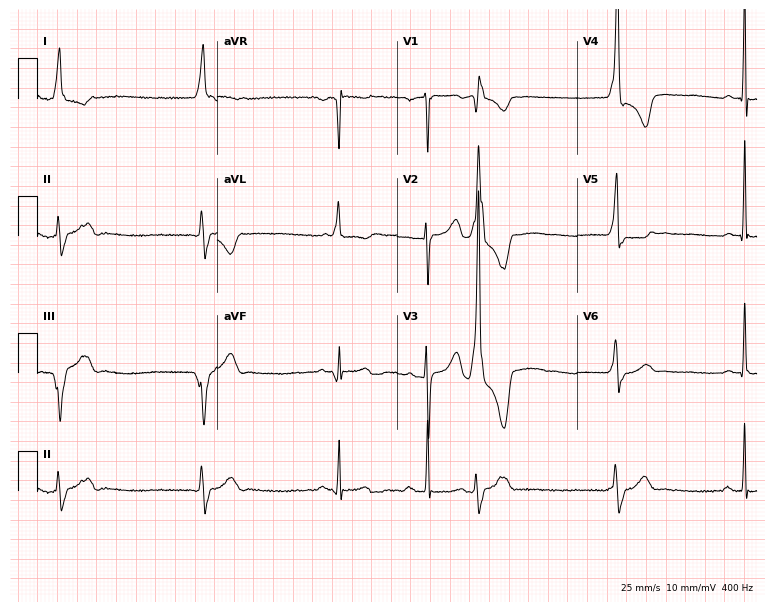
12-lead ECG (7.3-second recording at 400 Hz) from a 30-year-old female patient. Screened for six findings — first-degree AV block, right bundle branch block (RBBB), left bundle branch block (LBBB), sinus bradycardia, atrial fibrillation (AF), sinus tachycardia — none is recorded. Findings outside these six are not listed.